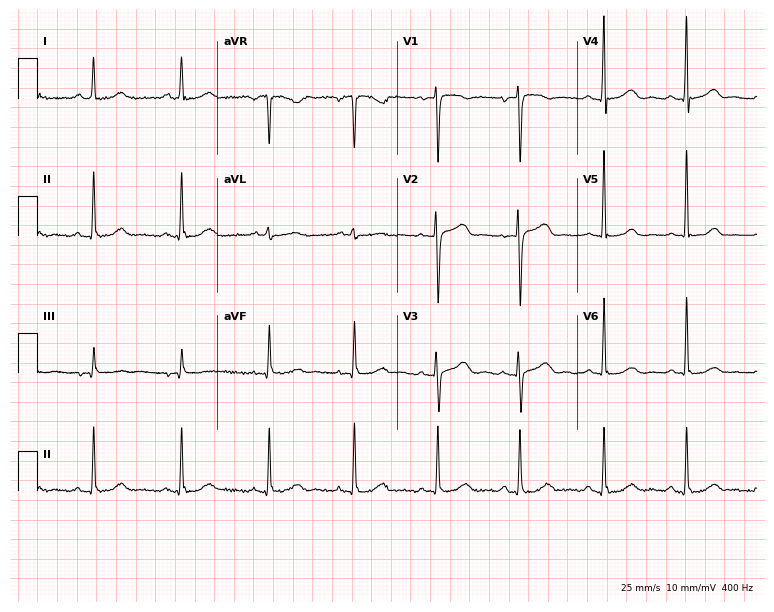
12-lead ECG from a female, 84 years old (7.3-second recording at 400 Hz). No first-degree AV block, right bundle branch block, left bundle branch block, sinus bradycardia, atrial fibrillation or sinus tachycardia recorded for this tracing. Only these six findings were labelled.